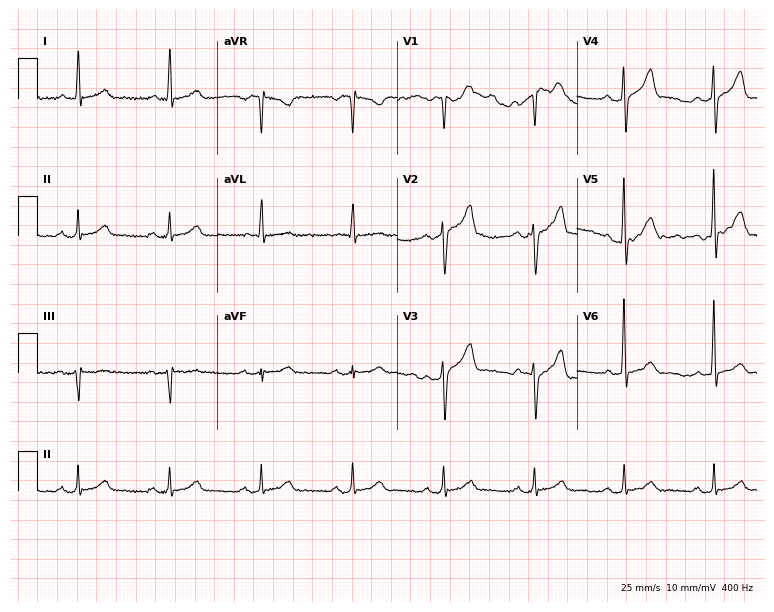
12-lead ECG from a man, 76 years old. Screened for six findings — first-degree AV block, right bundle branch block (RBBB), left bundle branch block (LBBB), sinus bradycardia, atrial fibrillation (AF), sinus tachycardia — none is recorded.